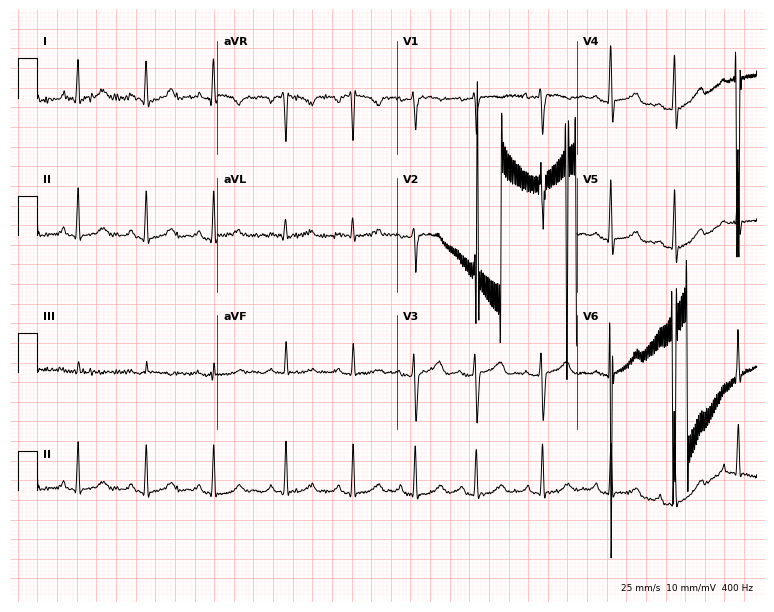
12-lead ECG from a 50-year-old female patient. Recorded interpretation: within normal limits.